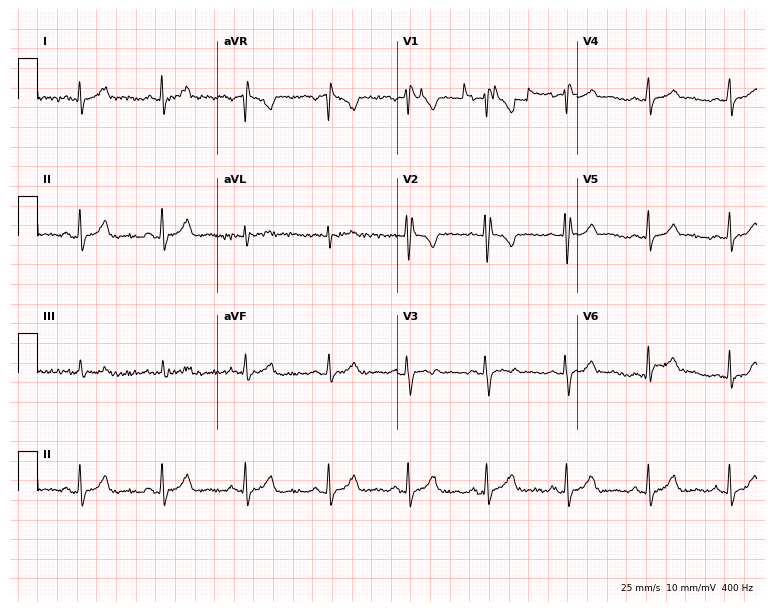
ECG — a 21-year-old female patient. Screened for six findings — first-degree AV block, right bundle branch block (RBBB), left bundle branch block (LBBB), sinus bradycardia, atrial fibrillation (AF), sinus tachycardia — none is recorded. Findings outside these six are not listed.